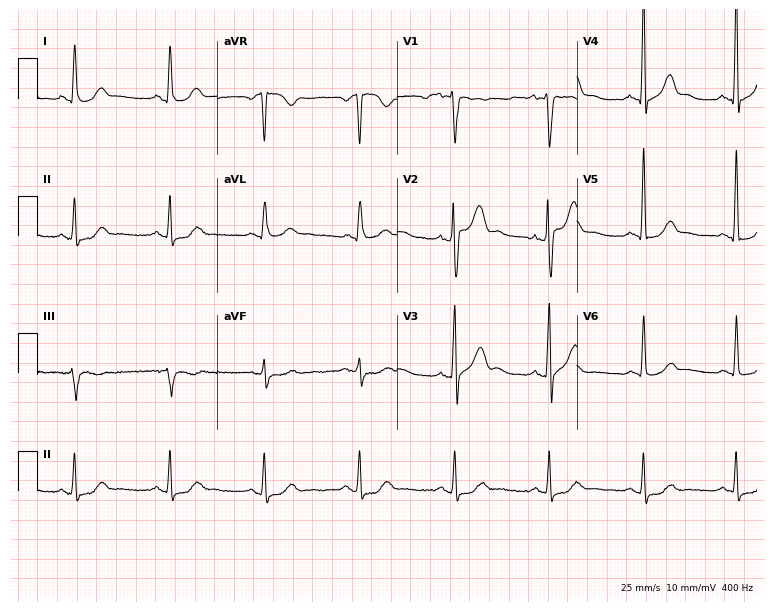
12-lead ECG from a male patient, 53 years old (7.3-second recording at 400 Hz). No first-degree AV block, right bundle branch block (RBBB), left bundle branch block (LBBB), sinus bradycardia, atrial fibrillation (AF) or sinus tachycardia recorded for this tracing.